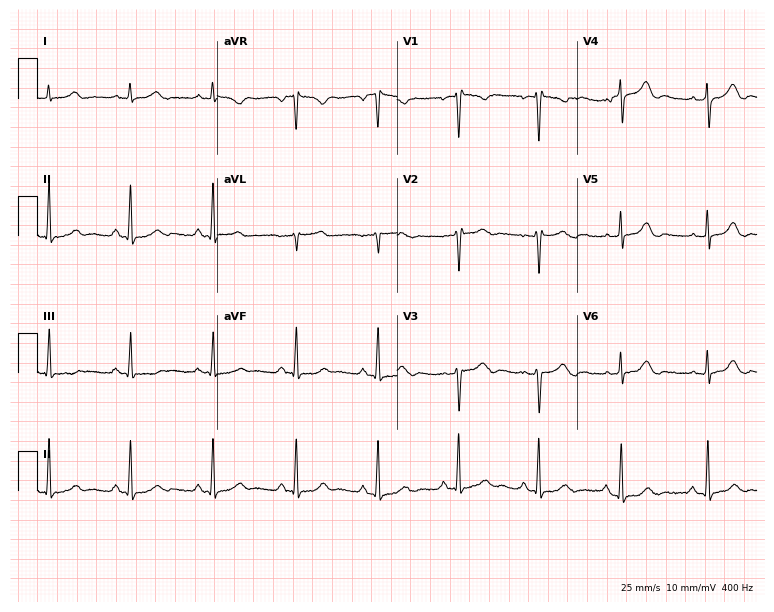
12-lead ECG from a woman, 39 years old (7.3-second recording at 400 Hz). No first-degree AV block, right bundle branch block, left bundle branch block, sinus bradycardia, atrial fibrillation or sinus tachycardia recorded for this tracing. Findings outside these six are not listed.